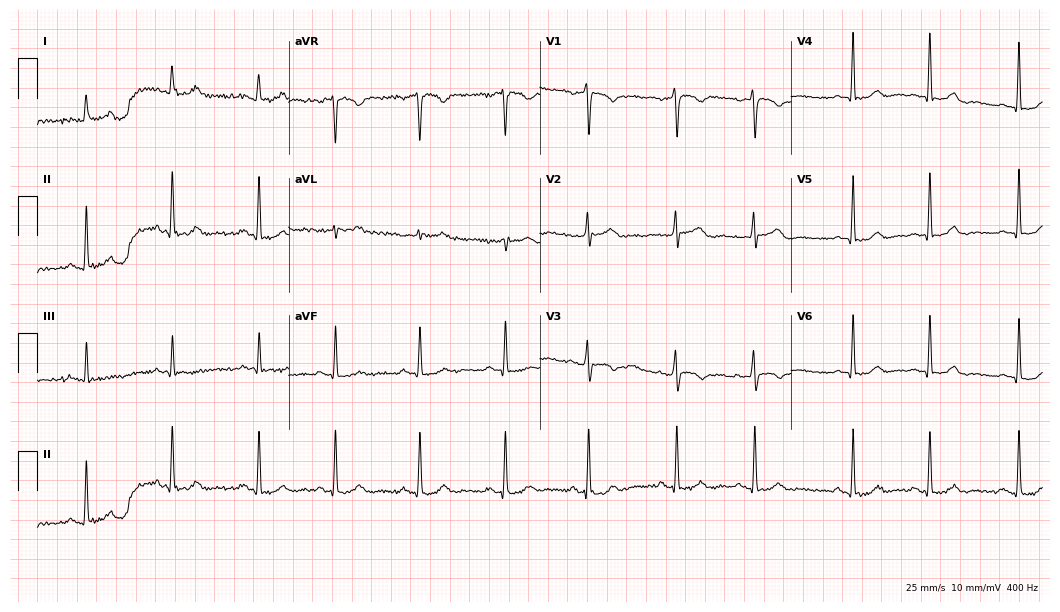
ECG (10.2-second recording at 400 Hz) — a female, 24 years old. Labelled as a normal ECG.